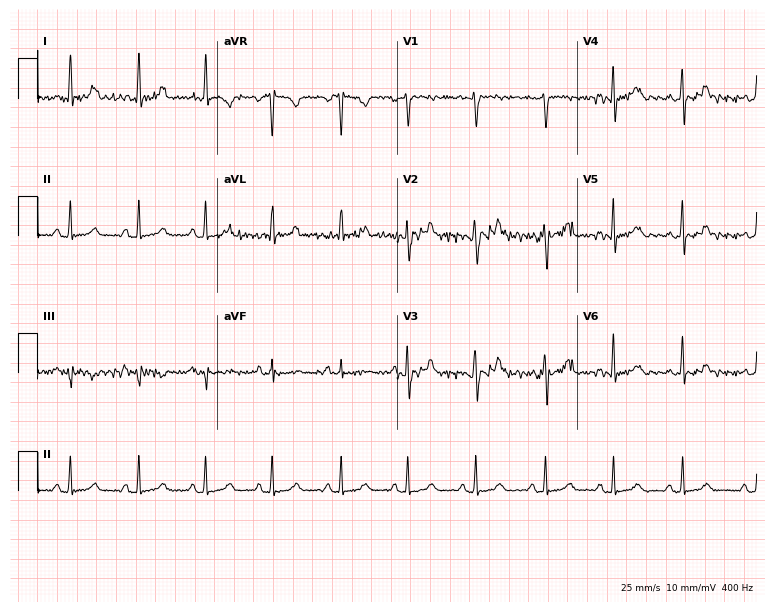
Resting 12-lead electrocardiogram (7.3-second recording at 400 Hz). Patient: a woman, 26 years old. Read as a normal ECG.